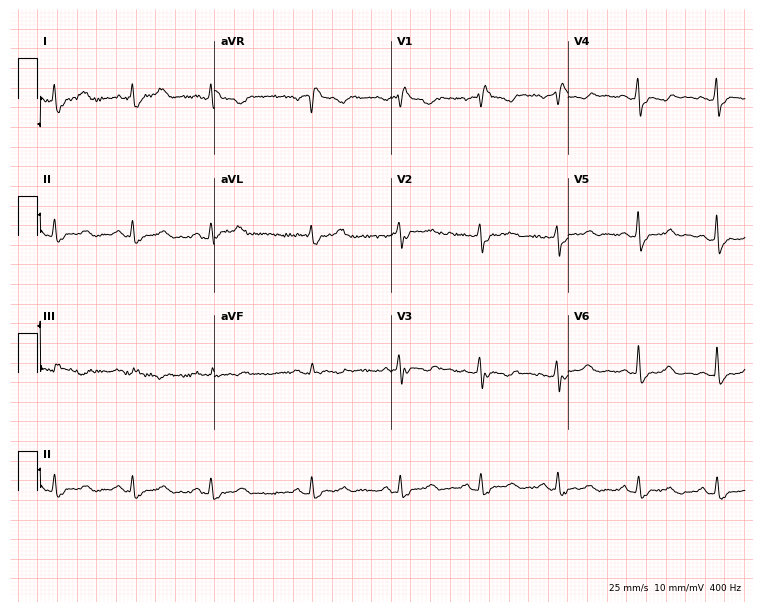
Electrocardiogram (7.2-second recording at 400 Hz), a female patient, 59 years old. Of the six screened findings (first-degree AV block, right bundle branch block, left bundle branch block, sinus bradycardia, atrial fibrillation, sinus tachycardia), none is recorded. Findings outside these six are not listed.